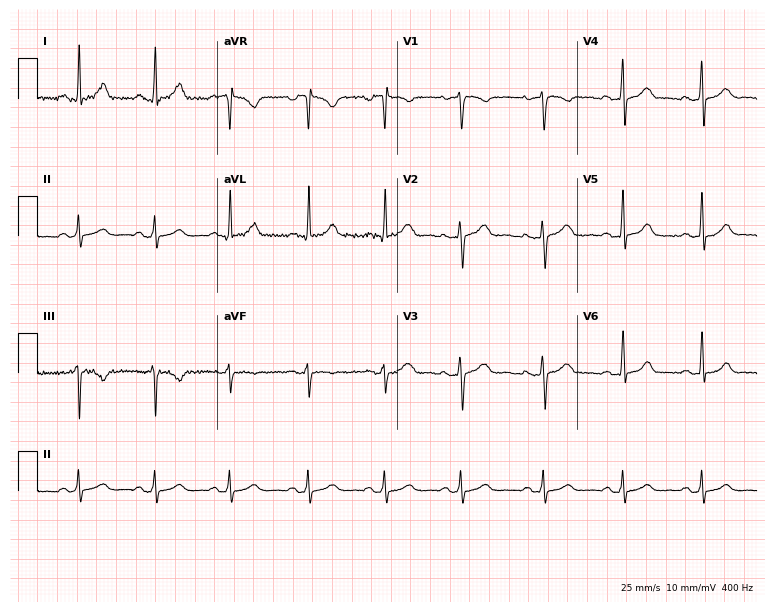
12-lead ECG from a woman, 41 years old. Labelled as a normal ECG.